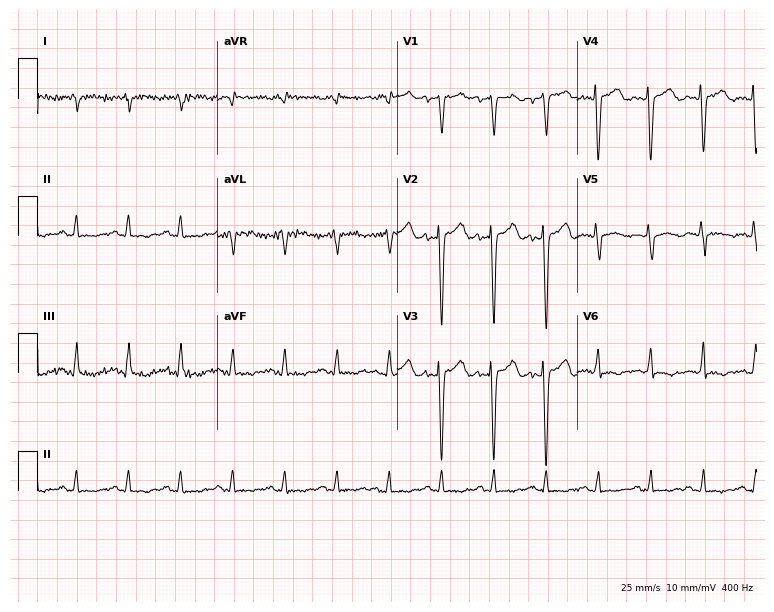
ECG — a 51-year-old male. Findings include sinus tachycardia (a sinus rate of 100 beats per minute or more).